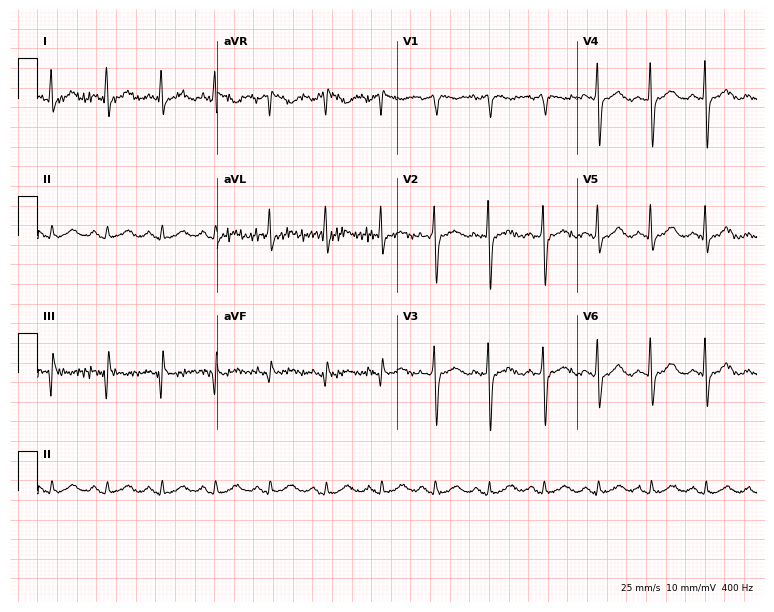
Standard 12-lead ECG recorded from a female patient, 58 years old (7.3-second recording at 400 Hz). The tracing shows sinus tachycardia (a sinus rate of 100 beats per minute or more).